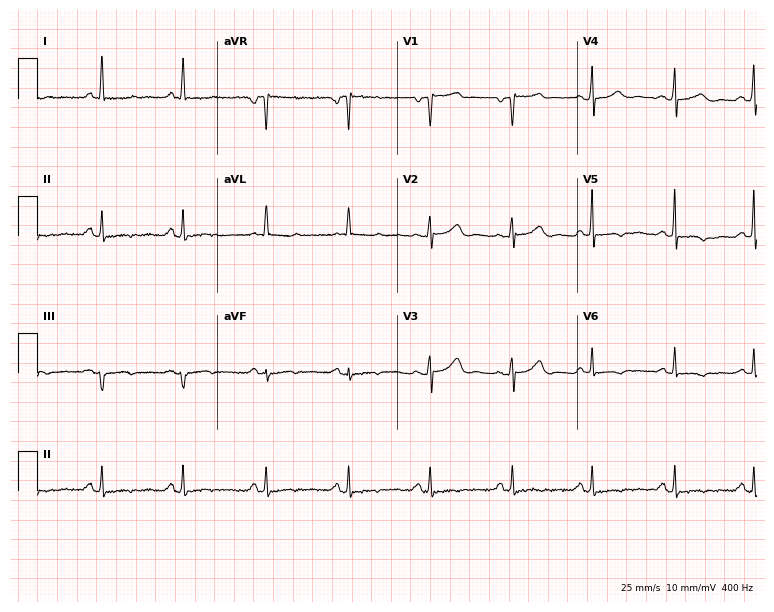
Standard 12-lead ECG recorded from a 59-year-old female patient. None of these six findings is recorded: first-degree AV block, right bundle branch block, left bundle branch block, sinus bradycardia, atrial fibrillation, sinus tachycardia.